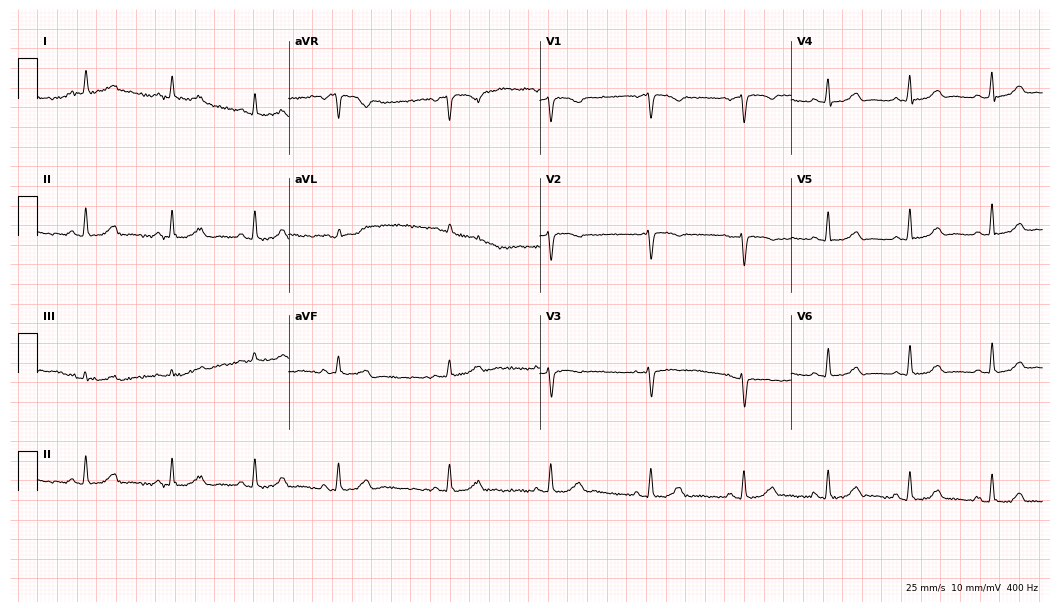
12-lead ECG from a 49-year-old woman. Labelled as a normal ECG.